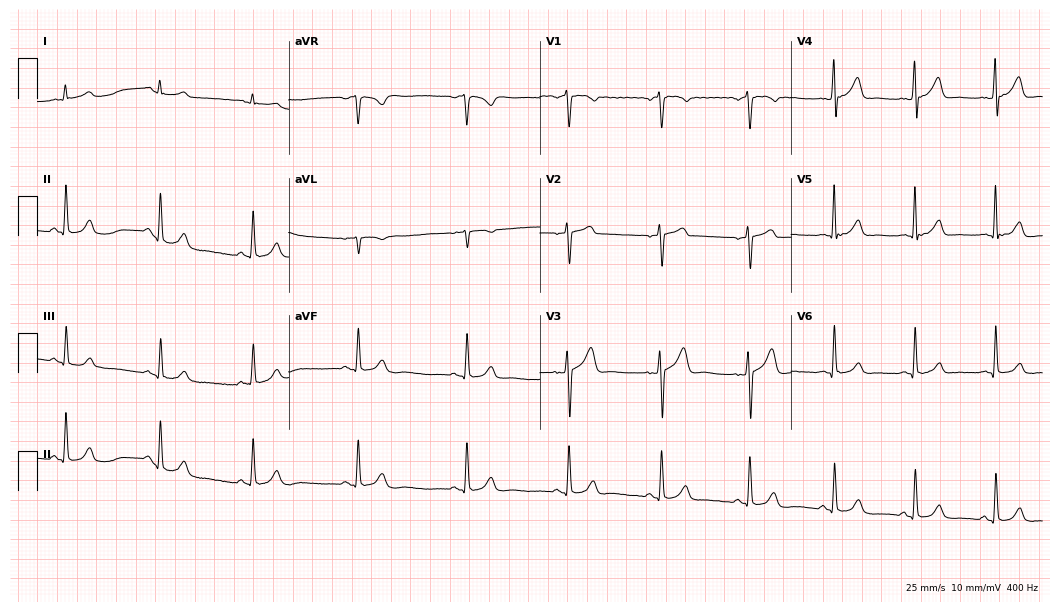
Electrocardiogram (10.2-second recording at 400 Hz), a man, 48 years old. Of the six screened findings (first-degree AV block, right bundle branch block, left bundle branch block, sinus bradycardia, atrial fibrillation, sinus tachycardia), none is recorded.